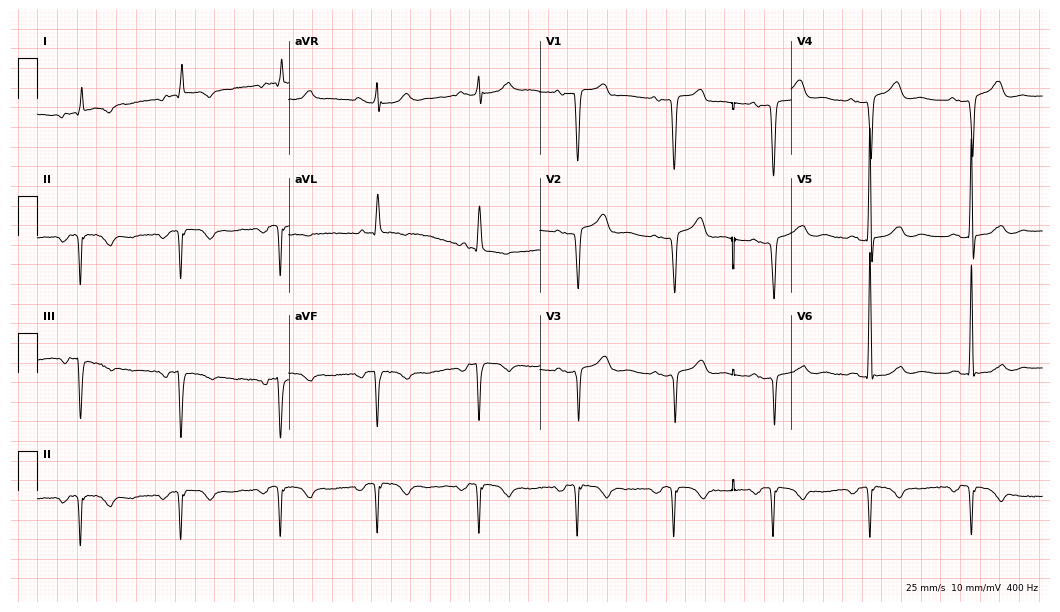
Standard 12-lead ECG recorded from a female, 79 years old (10.2-second recording at 400 Hz). None of these six findings is recorded: first-degree AV block, right bundle branch block, left bundle branch block, sinus bradycardia, atrial fibrillation, sinus tachycardia.